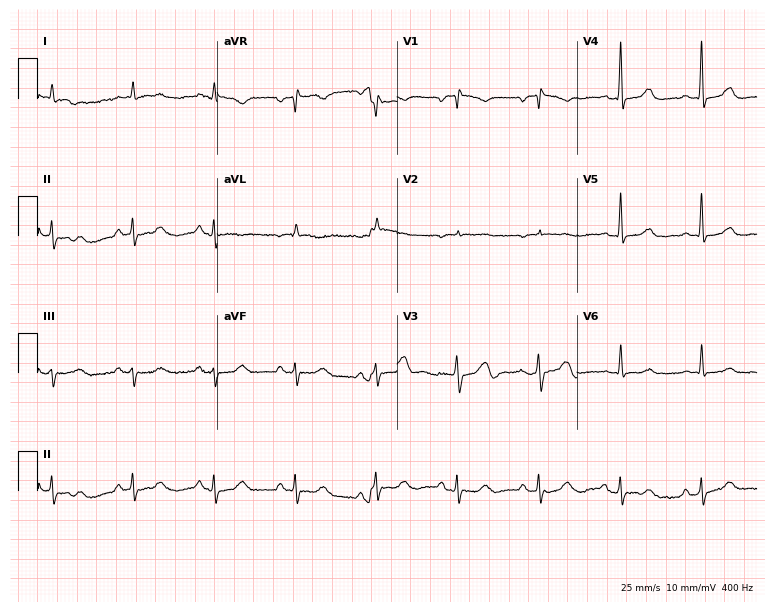
12-lead ECG from a male, 81 years old. No first-degree AV block, right bundle branch block (RBBB), left bundle branch block (LBBB), sinus bradycardia, atrial fibrillation (AF) or sinus tachycardia recorded for this tracing.